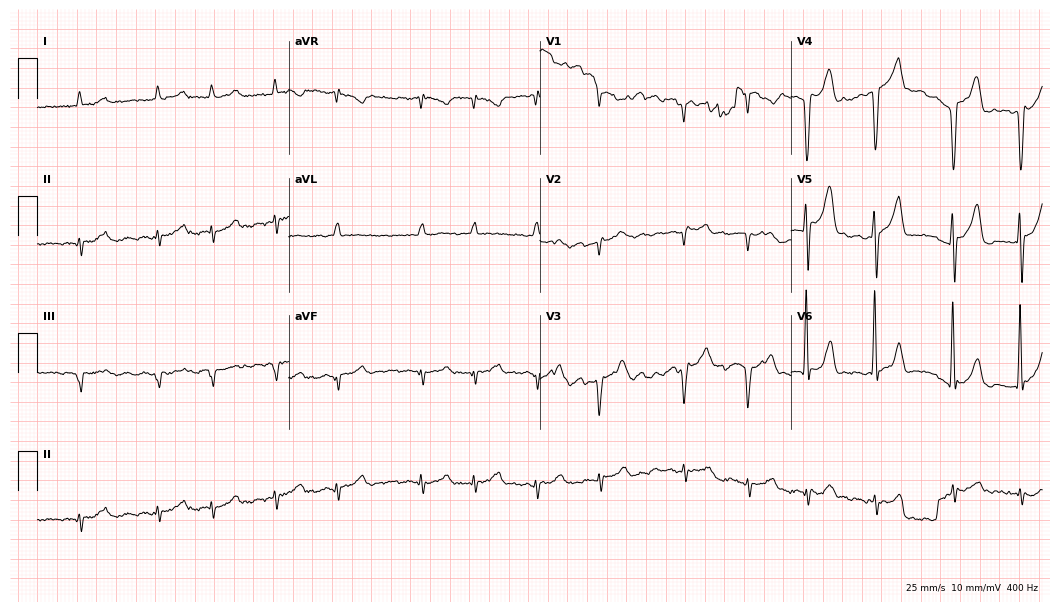
12-lead ECG from an 82-year-old male. No first-degree AV block, right bundle branch block (RBBB), left bundle branch block (LBBB), sinus bradycardia, atrial fibrillation (AF) or sinus tachycardia recorded for this tracing.